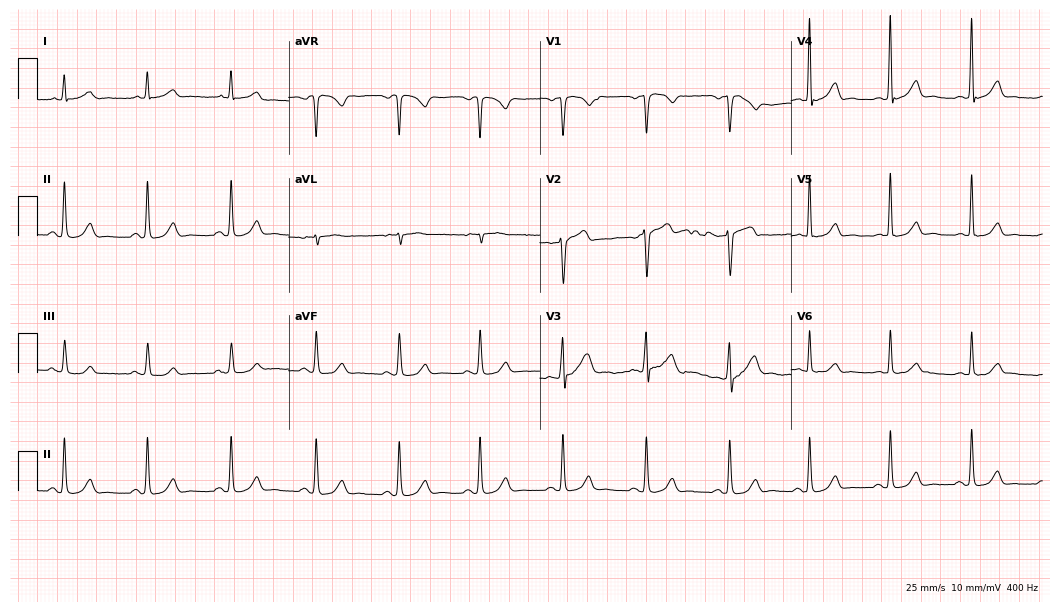
Standard 12-lead ECG recorded from a male patient, 55 years old (10.2-second recording at 400 Hz). Read as a normal ECG.